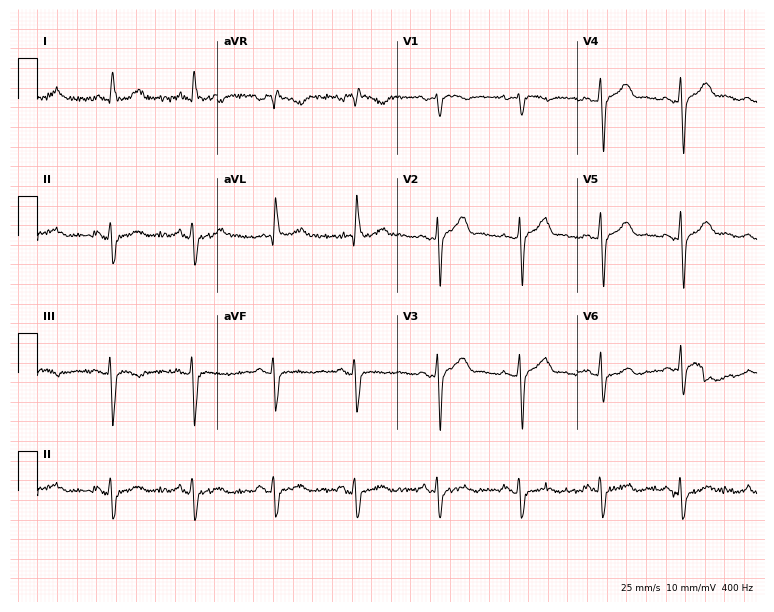
Standard 12-lead ECG recorded from a 77-year-old male patient. None of these six findings is recorded: first-degree AV block, right bundle branch block, left bundle branch block, sinus bradycardia, atrial fibrillation, sinus tachycardia.